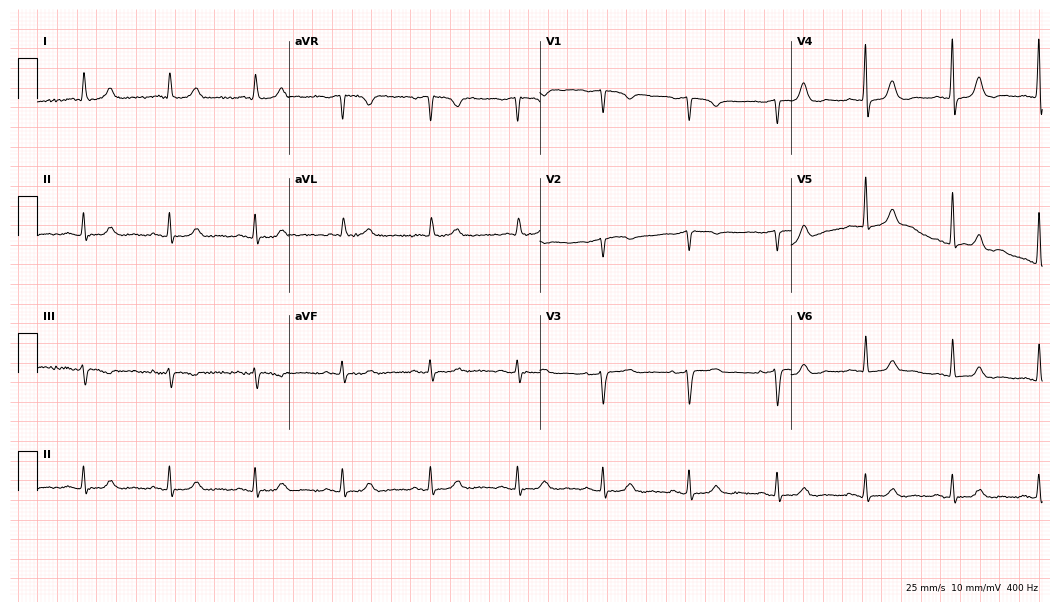
ECG — an 81-year-old female. Labelled as a normal ECG.